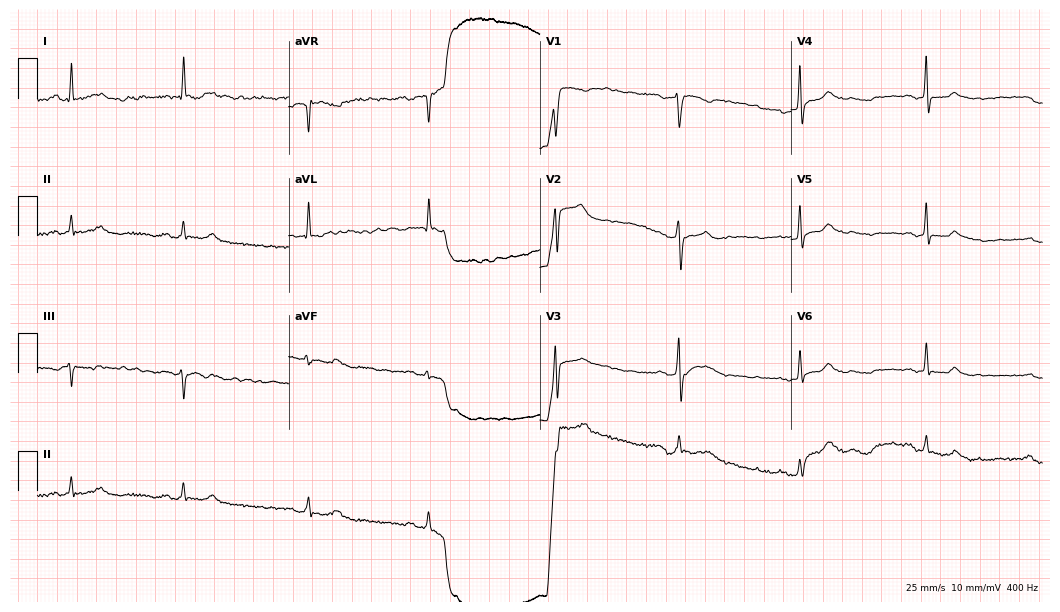
ECG — a man, 53 years old. Screened for six findings — first-degree AV block, right bundle branch block, left bundle branch block, sinus bradycardia, atrial fibrillation, sinus tachycardia — none is recorded.